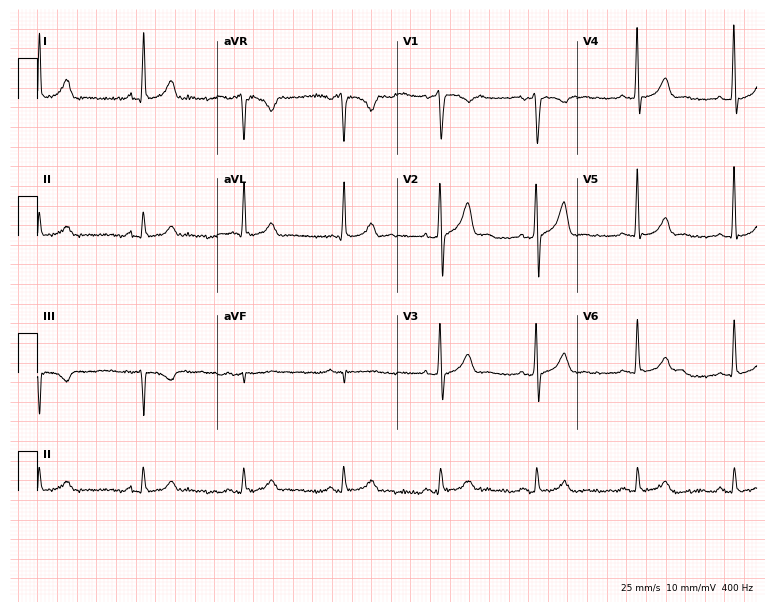
ECG (7.3-second recording at 400 Hz) — a 46-year-old man. Screened for six findings — first-degree AV block, right bundle branch block, left bundle branch block, sinus bradycardia, atrial fibrillation, sinus tachycardia — none is recorded. Findings outside these six are not listed.